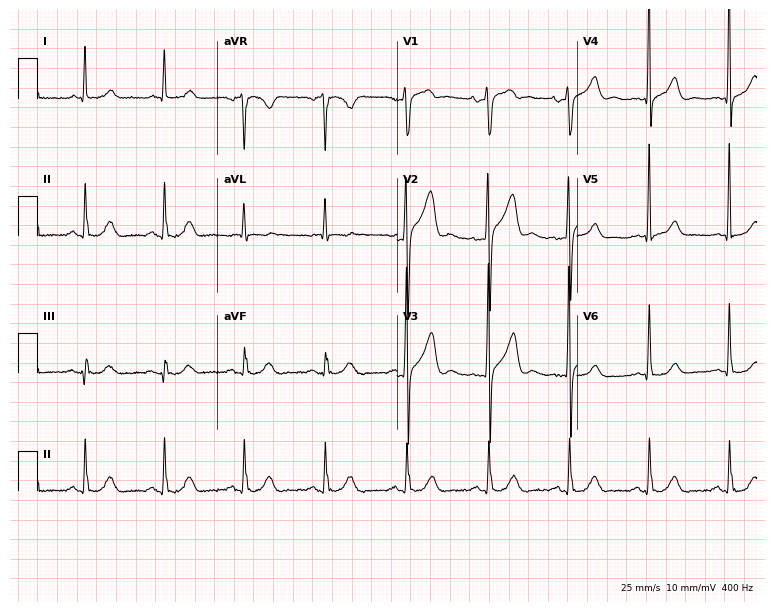
ECG (7.3-second recording at 400 Hz) — a 79-year-old male patient. Labelled as a normal ECG.